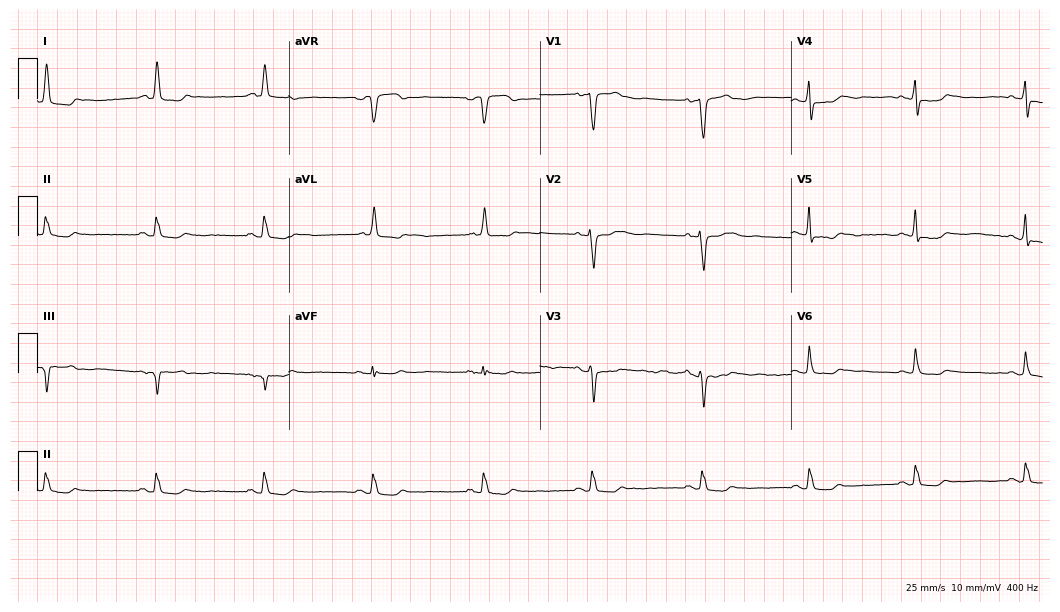
12-lead ECG from a 68-year-old female patient. No first-degree AV block, right bundle branch block, left bundle branch block, sinus bradycardia, atrial fibrillation or sinus tachycardia recorded for this tracing.